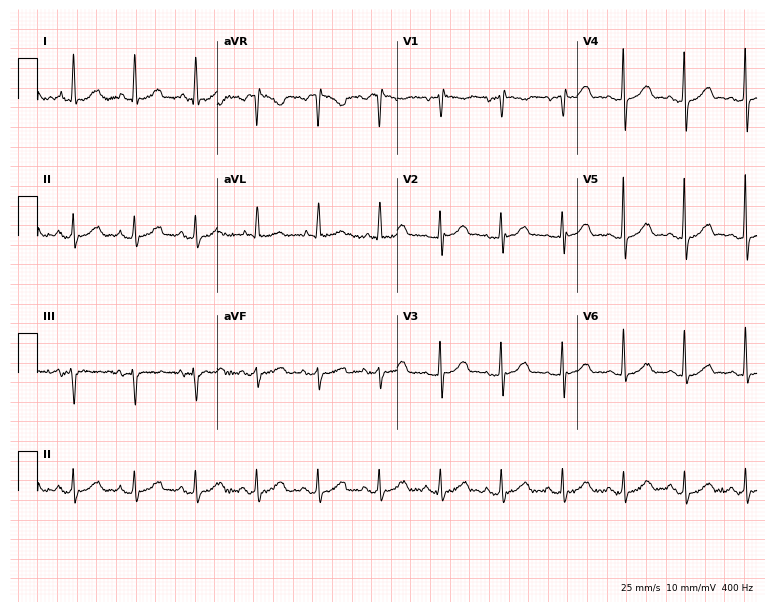
12-lead ECG from a 75-year-old female. No first-degree AV block, right bundle branch block, left bundle branch block, sinus bradycardia, atrial fibrillation or sinus tachycardia recorded for this tracing.